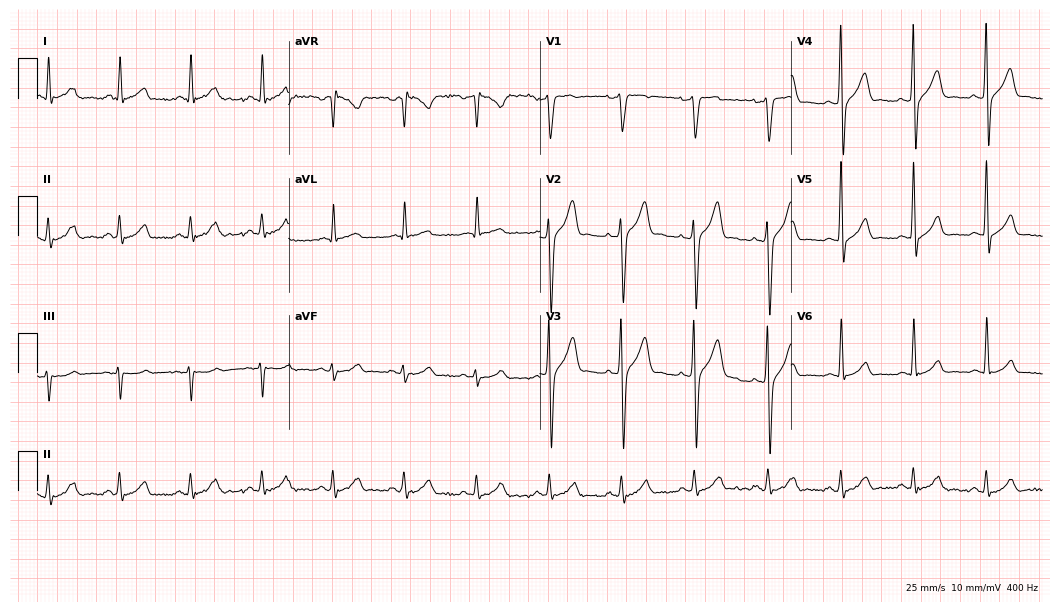
ECG — a 30-year-old male. Labelled as a normal ECG.